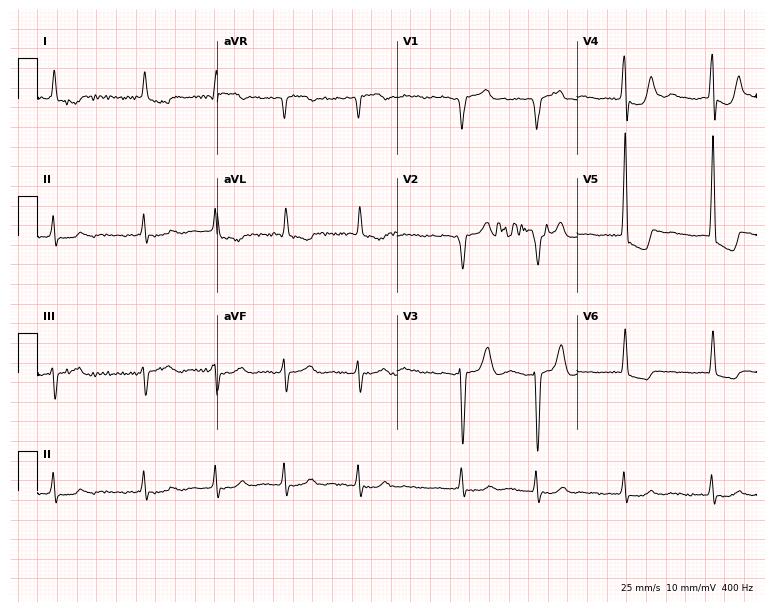
Electrocardiogram, a 79-year-old man. Interpretation includes atrial fibrillation.